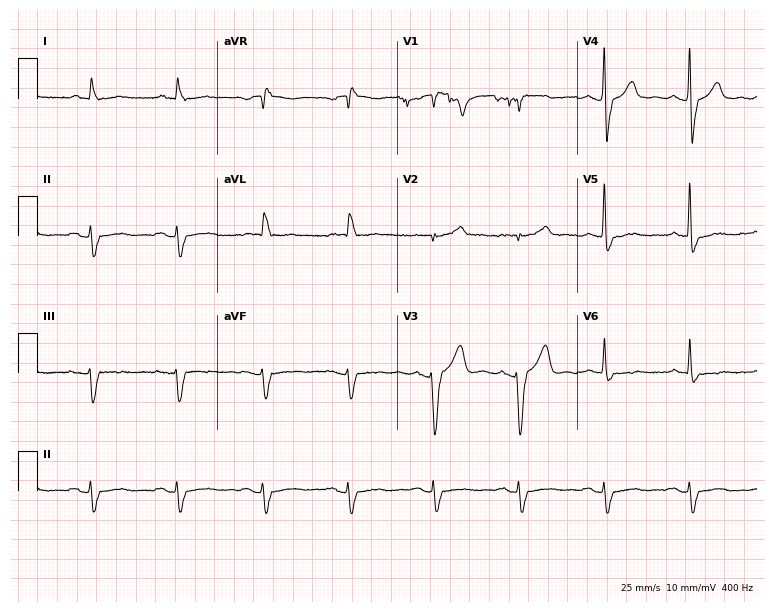
Electrocardiogram, a man, 71 years old. Interpretation includes left bundle branch block.